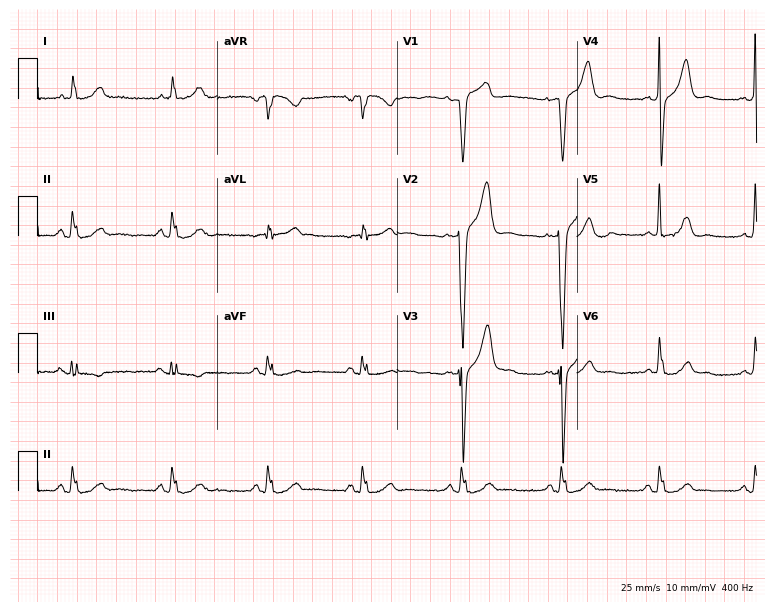
12-lead ECG from a 66-year-old man. No first-degree AV block, right bundle branch block (RBBB), left bundle branch block (LBBB), sinus bradycardia, atrial fibrillation (AF) or sinus tachycardia recorded for this tracing.